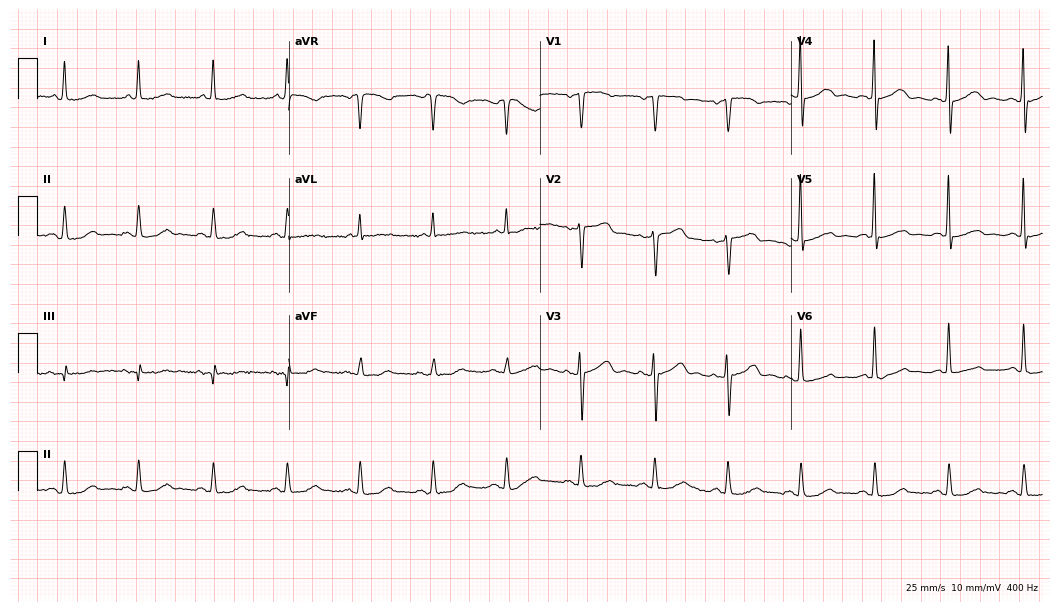
Resting 12-lead electrocardiogram (10.2-second recording at 400 Hz). Patient: a female, 80 years old. None of these six findings is recorded: first-degree AV block, right bundle branch block, left bundle branch block, sinus bradycardia, atrial fibrillation, sinus tachycardia. Only these six findings were labelled.